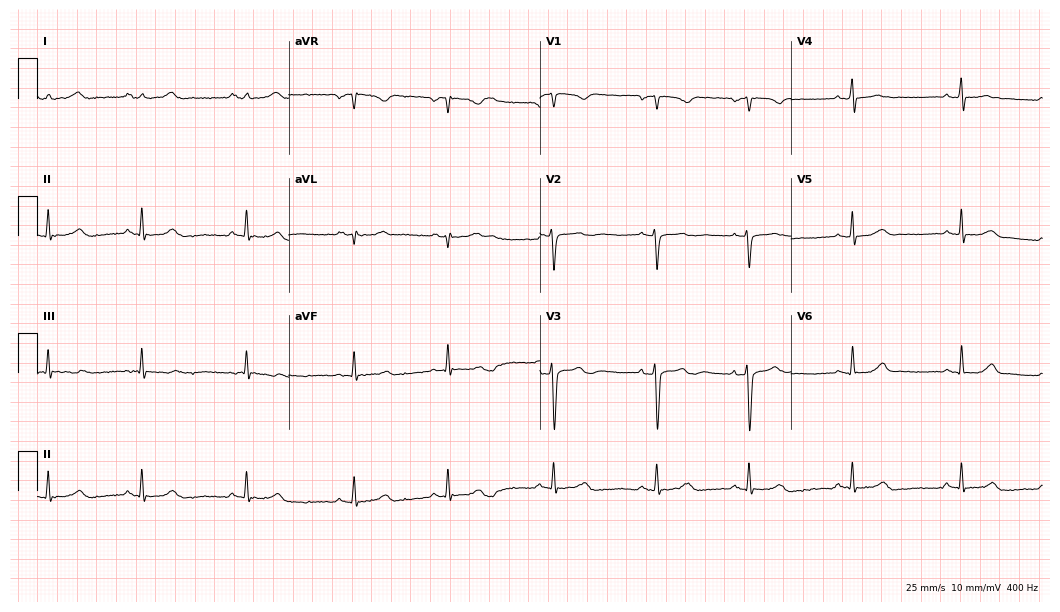
12-lead ECG from a female, 18 years old. Labelled as a normal ECG.